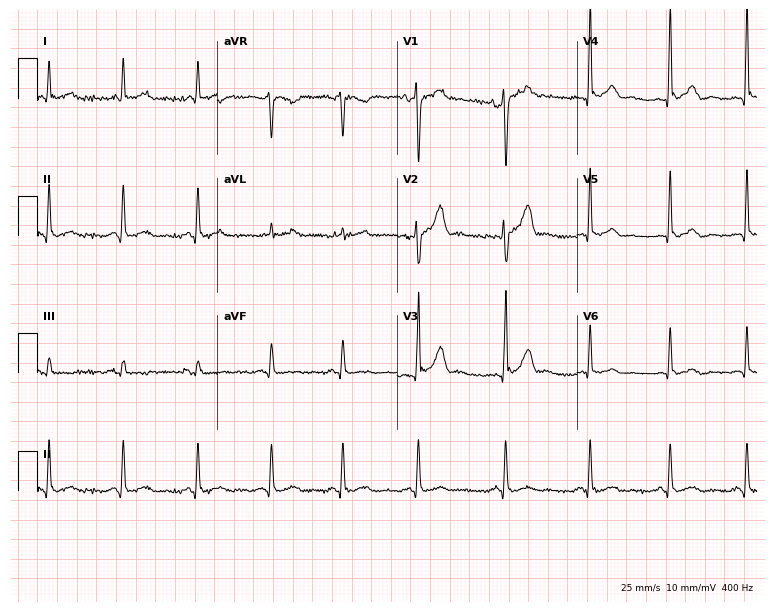
ECG (7.3-second recording at 400 Hz) — a 37-year-old male. Screened for six findings — first-degree AV block, right bundle branch block (RBBB), left bundle branch block (LBBB), sinus bradycardia, atrial fibrillation (AF), sinus tachycardia — none is recorded.